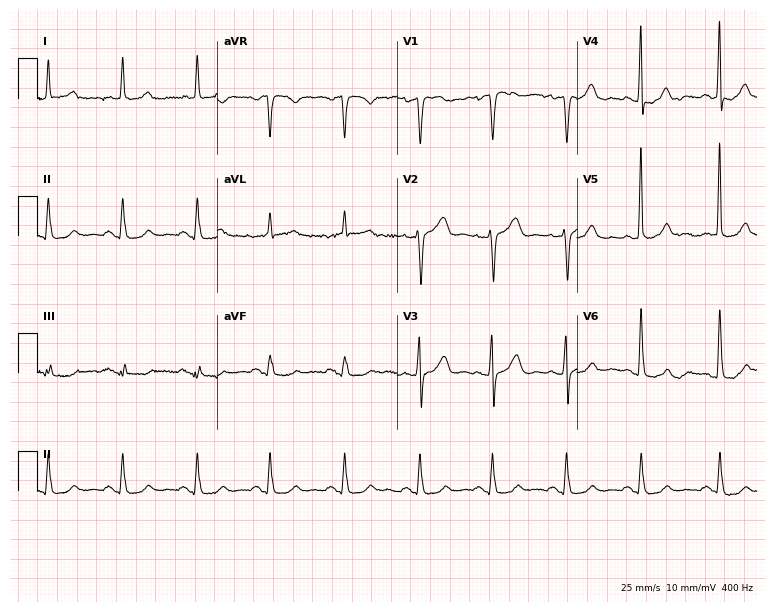
12-lead ECG from a 65-year-old man. Recorded interpretation: within normal limits.